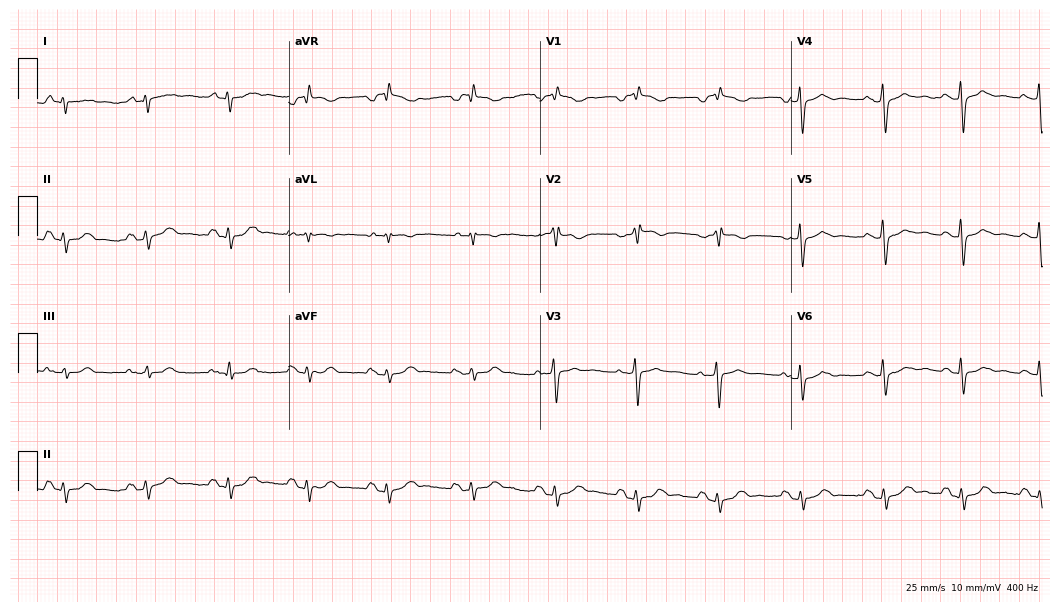
12-lead ECG from a 55-year-old woman. Screened for six findings — first-degree AV block, right bundle branch block, left bundle branch block, sinus bradycardia, atrial fibrillation, sinus tachycardia — none is recorded.